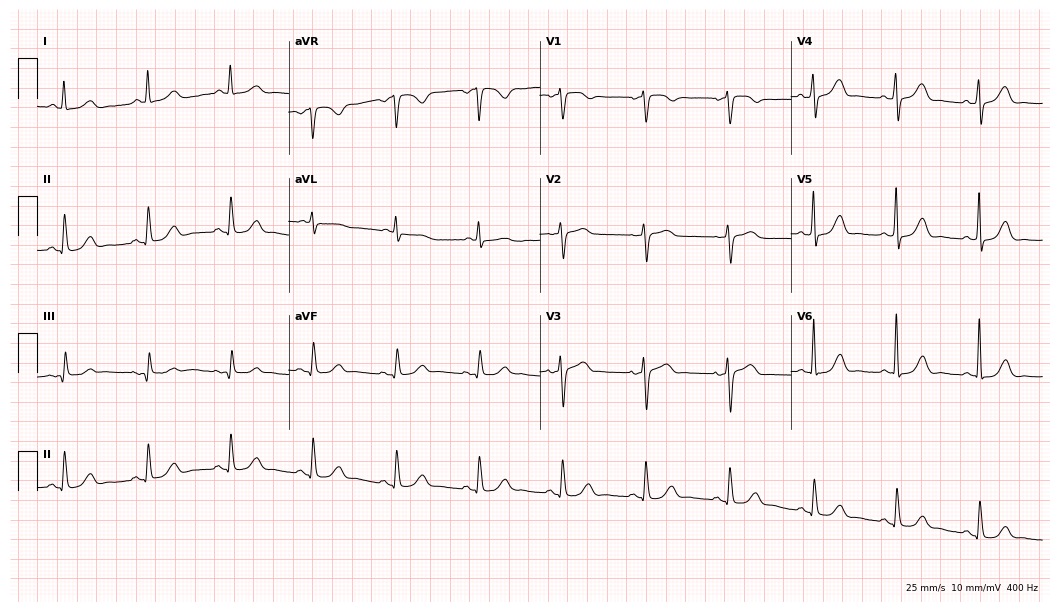
Electrocardiogram (10.2-second recording at 400 Hz), a 65-year-old female. Overall reading on record: normal ECG.